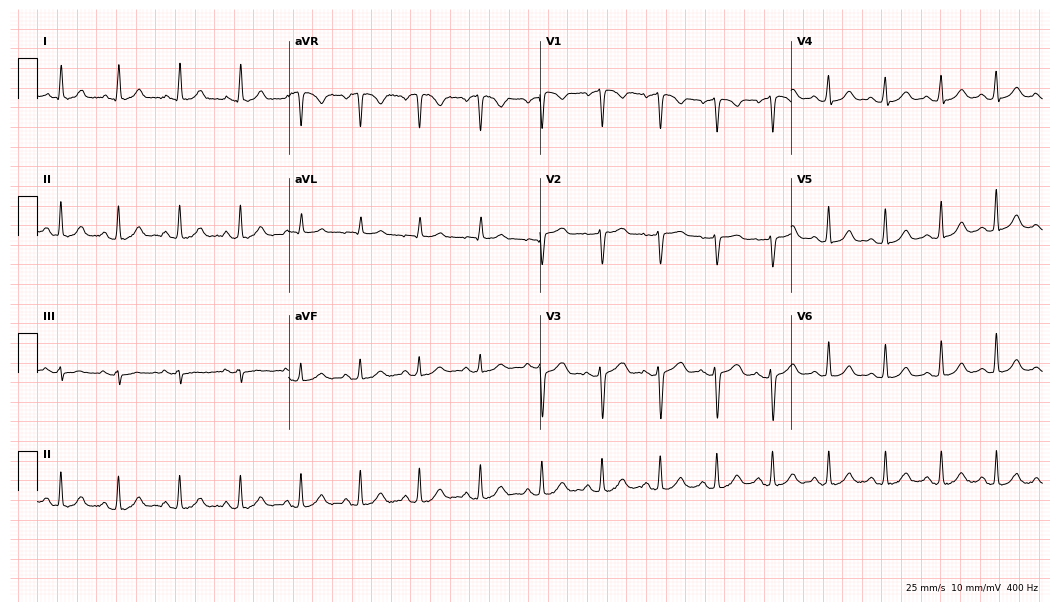
12-lead ECG from a woman, 43 years old. Recorded interpretation: within normal limits.